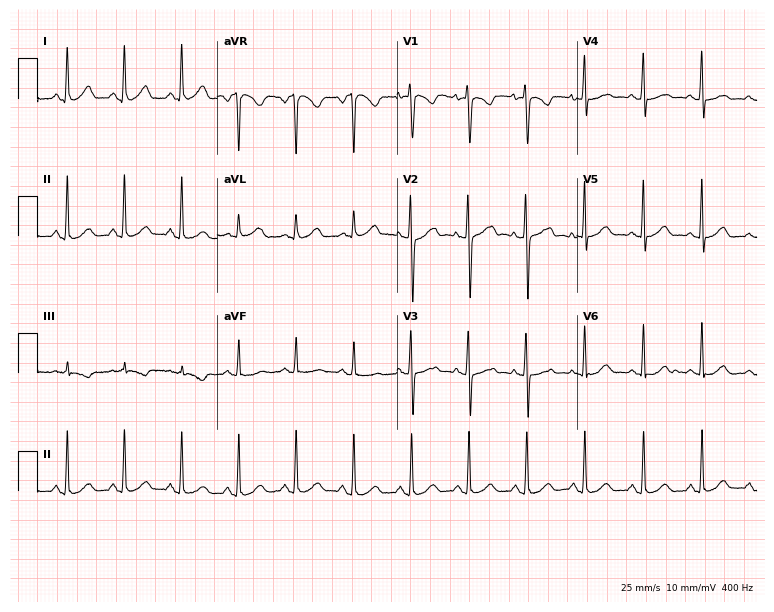
ECG (7.3-second recording at 400 Hz) — a 37-year-old female. Screened for six findings — first-degree AV block, right bundle branch block, left bundle branch block, sinus bradycardia, atrial fibrillation, sinus tachycardia — none is recorded. Other findings, if any, are not listed.